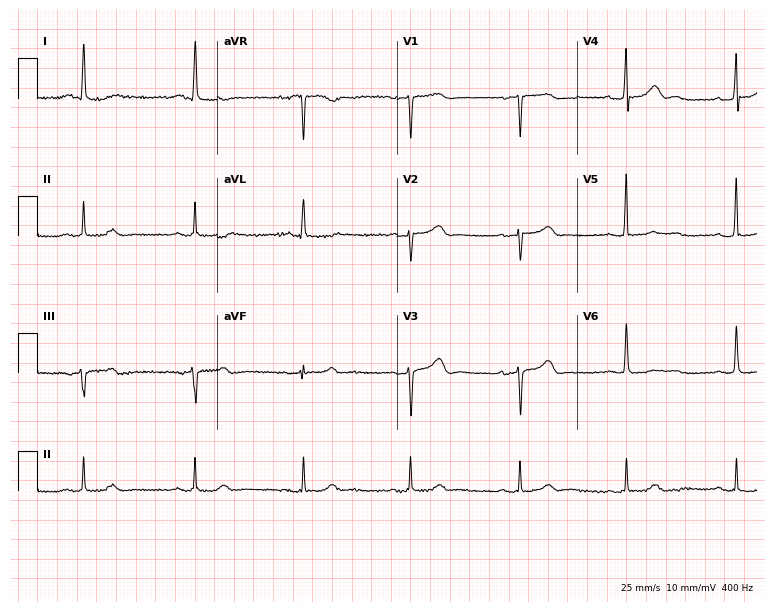
12-lead ECG from a 58-year-old female patient. Screened for six findings — first-degree AV block, right bundle branch block (RBBB), left bundle branch block (LBBB), sinus bradycardia, atrial fibrillation (AF), sinus tachycardia — none is recorded. Findings outside these six are not listed.